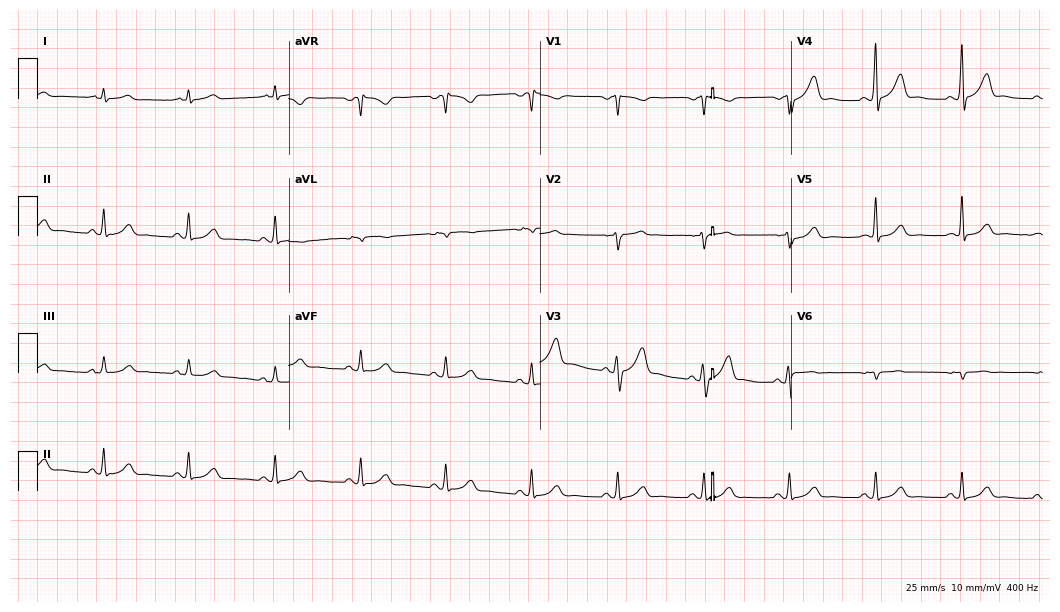
Electrocardiogram, a man, 59 years old. Overall reading on record: normal ECG.